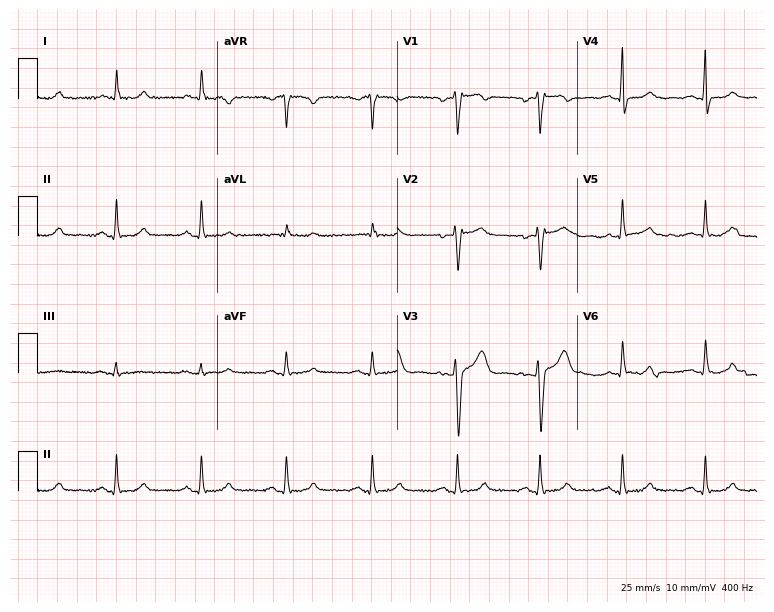
ECG — a female patient, 53 years old. Labelled as a normal ECG.